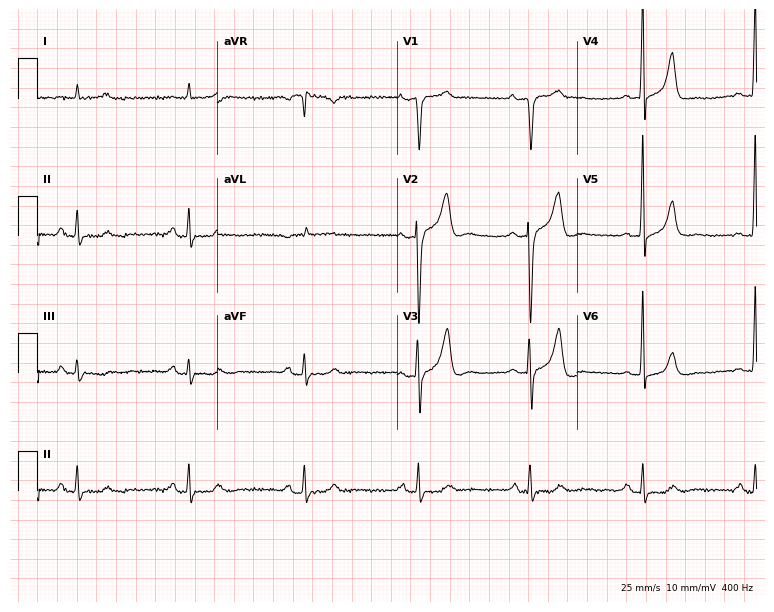
Standard 12-lead ECG recorded from a 48-year-old man. Read as a normal ECG.